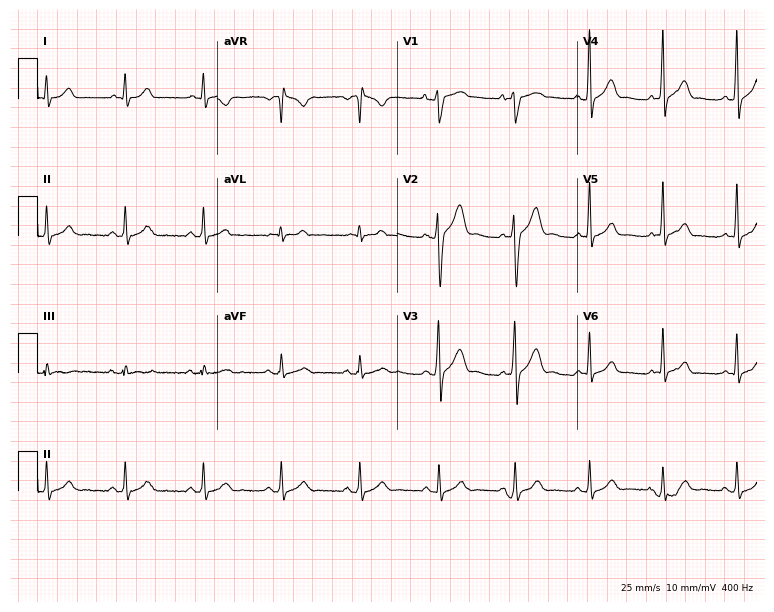
12-lead ECG from a 34-year-old male (7.3-second recording at 400 Hz). Recorded interpretation: within normal limits.